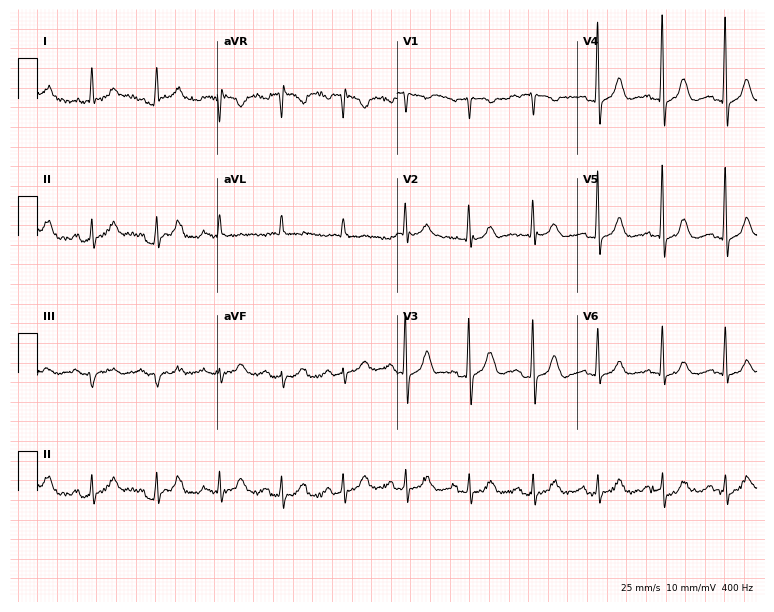
12-lead ECG from a 70-year-old male. No first-degree AV block, right bundle branch block, left bundle branch block, sinus bradycardia, atrial fibrillation or sinus tachycardia recorded for this tracing.